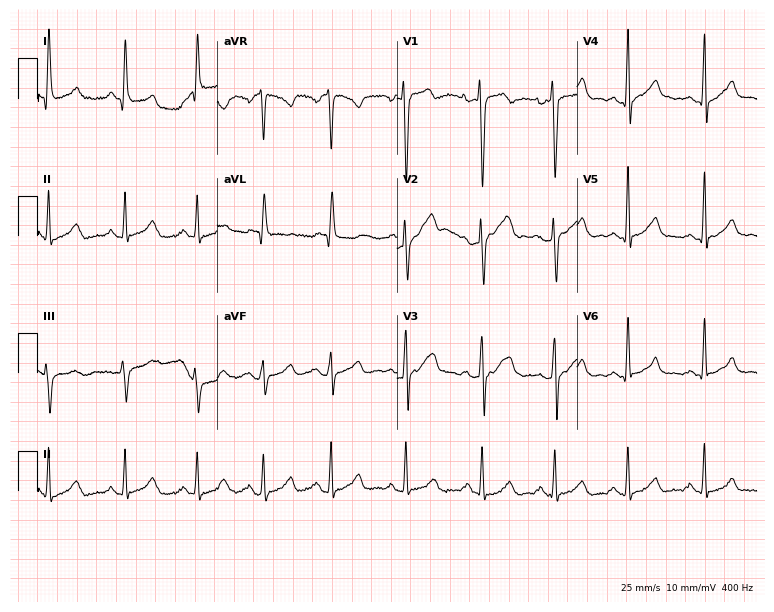
Electrocardiogram, a 26-year-old man. Overall reading on record: normal ECG.